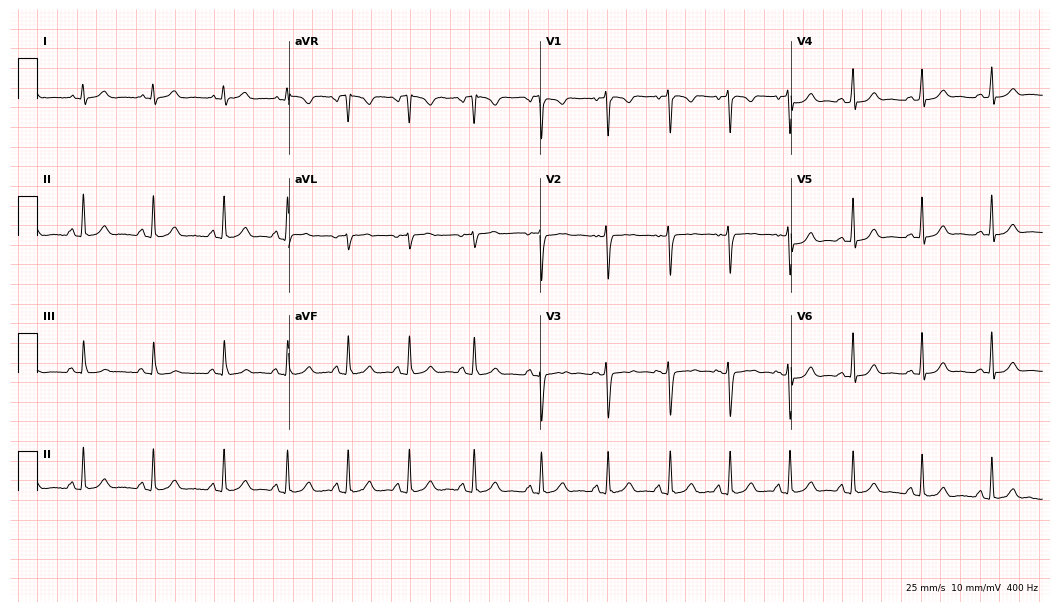
Standard 12-lead ECG recorded from a 23-year-old female. Read as a normal ECG.